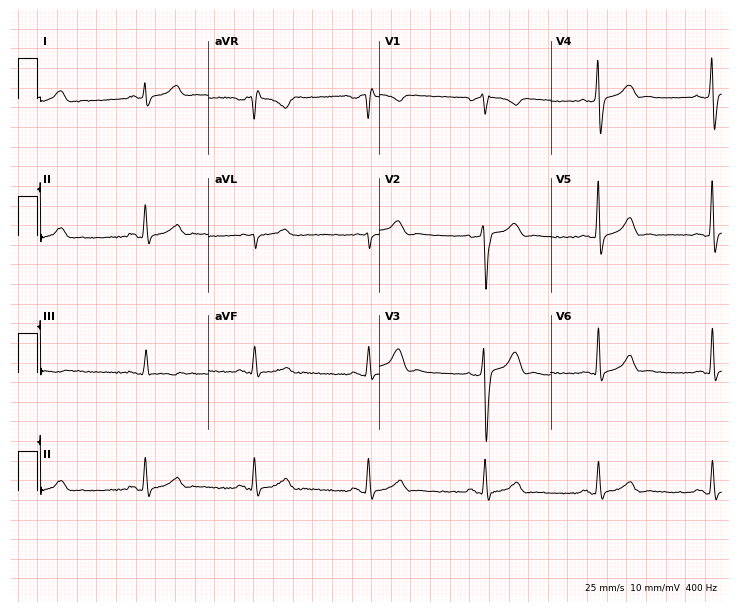
12-lead ECG (7-second recording at 400 Hz) from a 40-year-old male. Screened for six findings — first-degree AV block, right bundle branch block, left bundle branch block, sinus bradycardia, atrial fibrillation, sinus tachycardia — none is recorded.